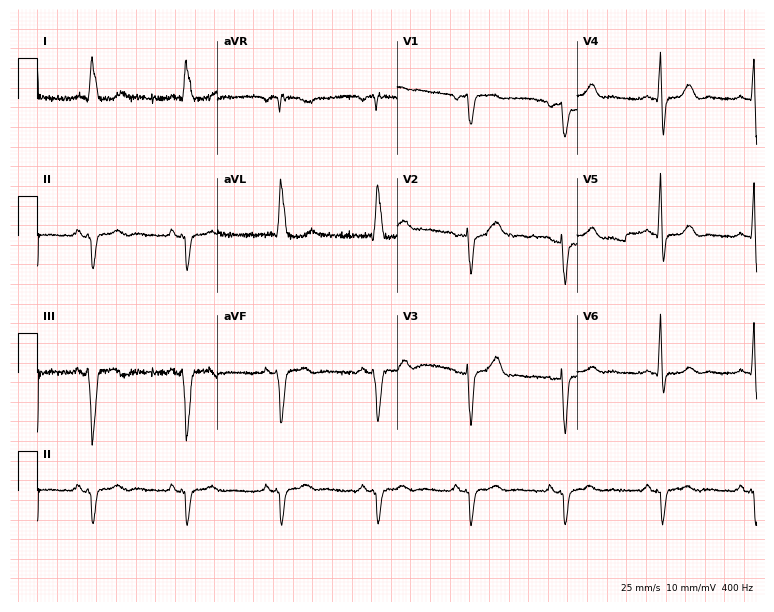
12-lead ECG (7.3-second recording at 400 Hz) from a male, 82 years old. Screened for six findings — first-degree AV block, right bundle branch block, left bundle branch block, sinus bradycardia, atrial fibrillation, sinus tachycardia — none is recorded. Findings outside these six are not listed.